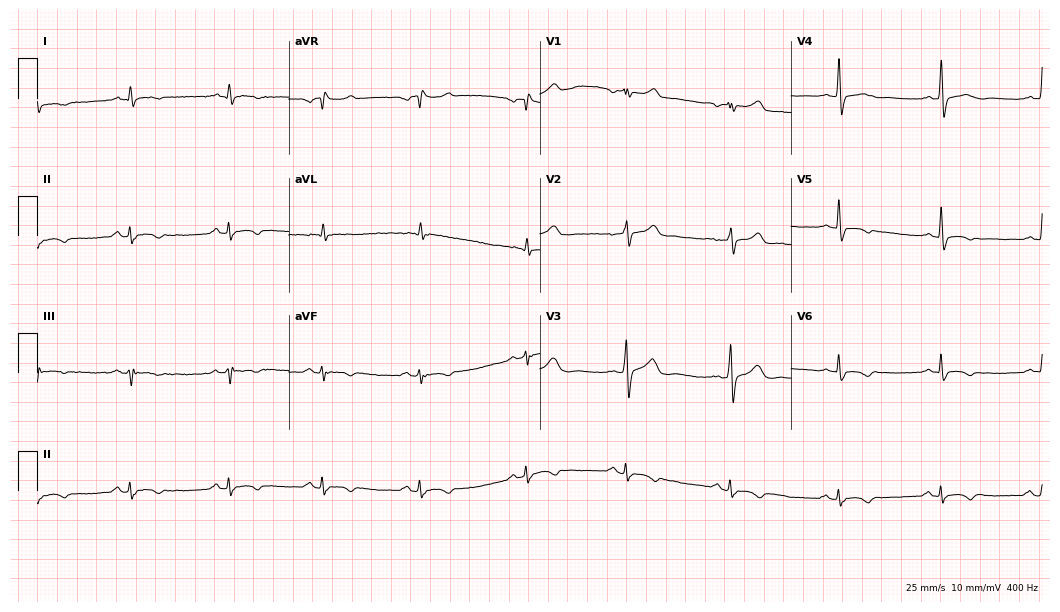
ECG — a 57-year-old man. Screened for six findings — first-degree AV block, right bundle branch block, left bundle branch block, sinus bradycardia, atrial fibrillation, sinus tachycardia — none is recorded. Other findings, if any, are not listed.